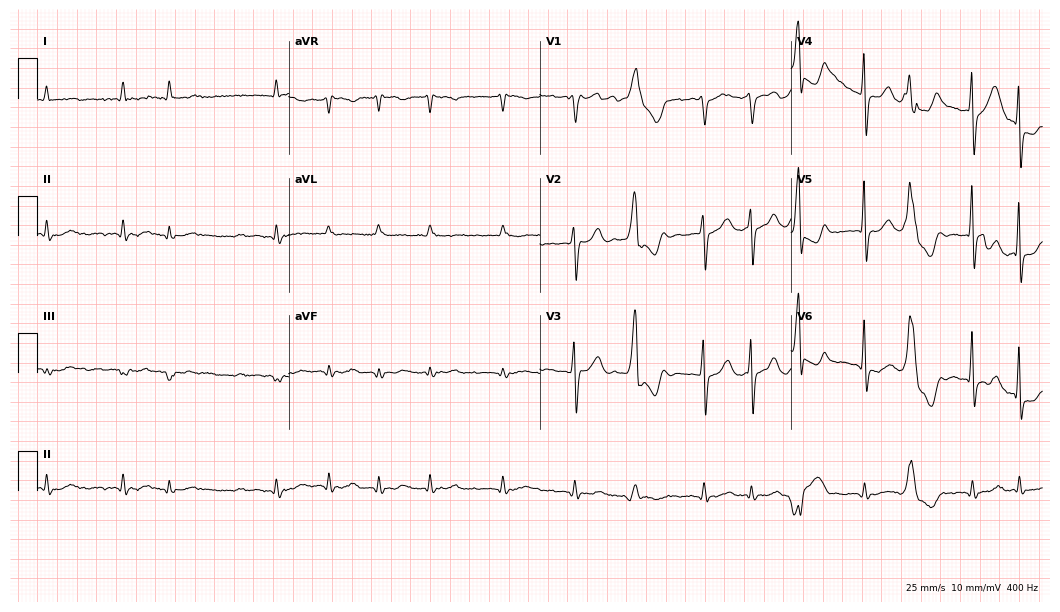
12-lead ECG (10.2-second recording at 400 Hz) from a male patient, 84 years old. Findings include atrial fibrillation (AF).